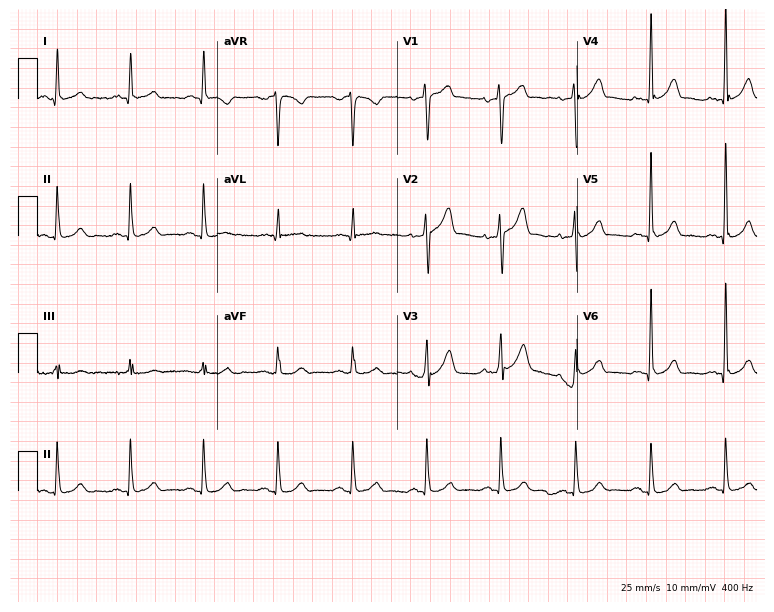
Electrocardiogram, a male patient, 66 years old. Overall reading on record: normal ECG.